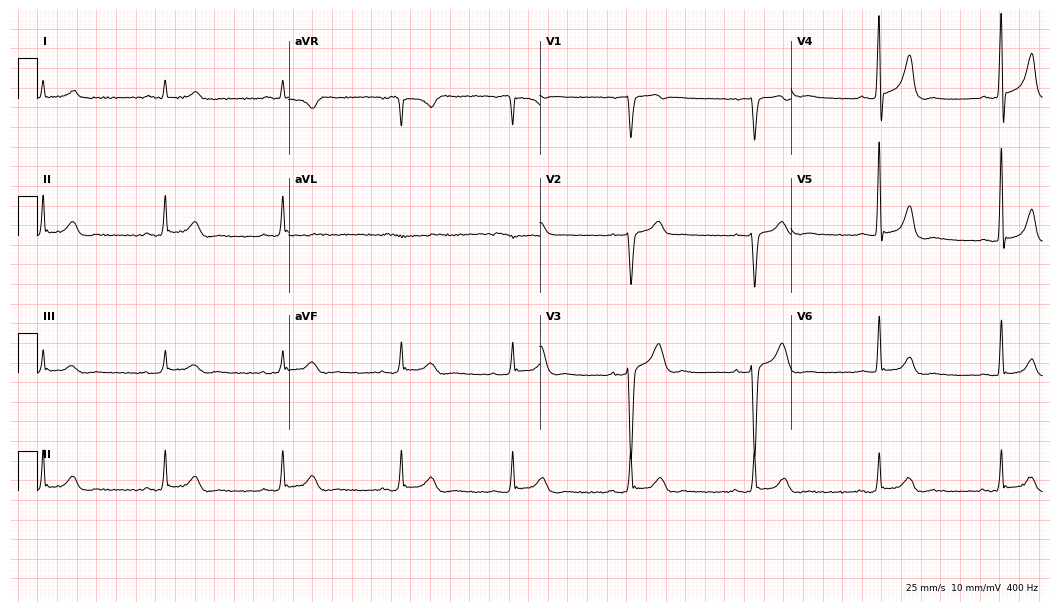
12-lead ECG from a 61-year-old male patient (10.2-second recording at 400 Hz). Recorded interpretation: within normal limits.